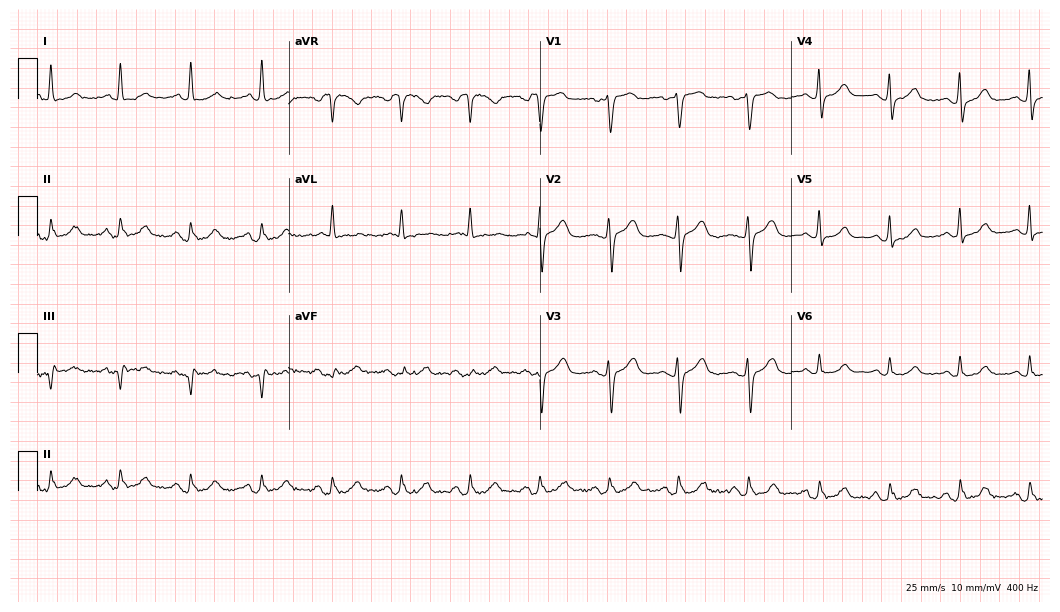
12-lead ECG from a woman, 72 years old. No first-degree AV block, right bundle branch block (RBBB), left bundle branch block (LBBB), sinus bradycardia, atrial fibrillation (AF) or sinus tachycardia recorded for this tracing. Findings outside these six are not listed.